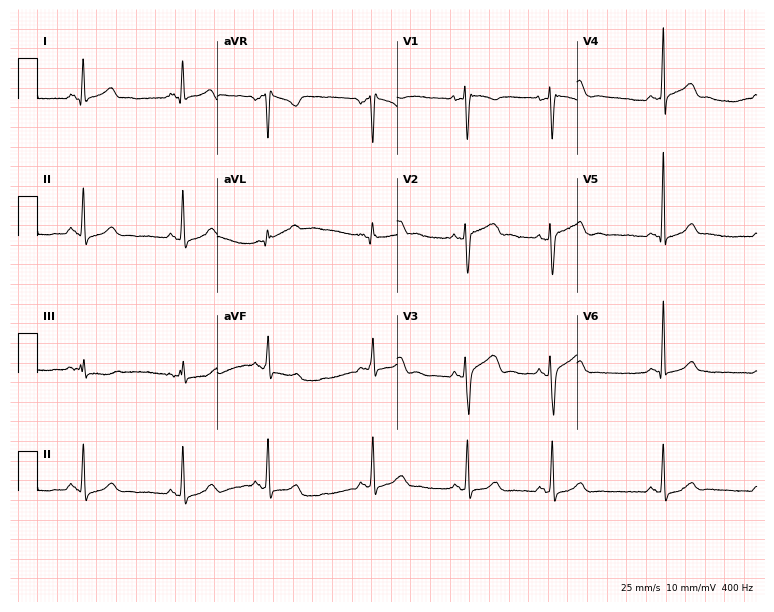
Electrocardiogram (7.3-second recording at 400 Hz), a female, 30 years old. Overall reading on record: normal ECG.